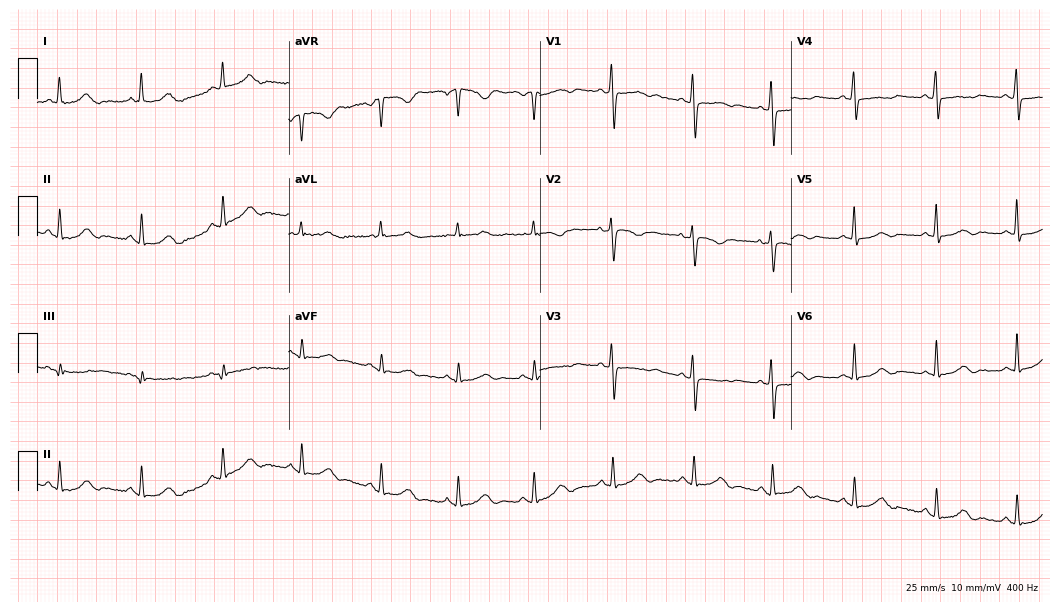
12-lead ECG from a female, 50 years old. Recorded interpretation: within normal limits.